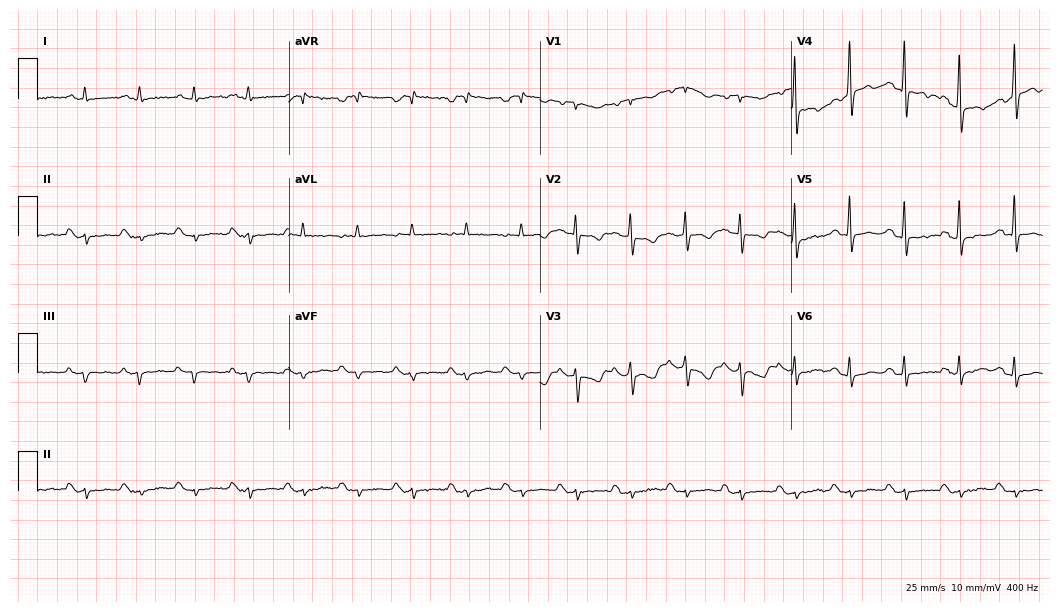
12-lead ECG from a male patient, 76 years old. Findings include sinus tachycardia (a sinus rate of 100 beats per minute or more).